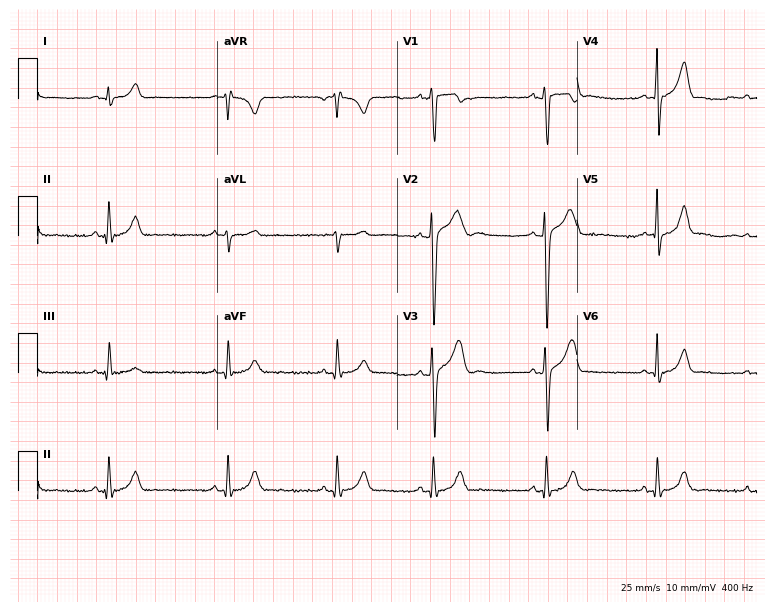
12-lead ECG (7.3-second recording at 400 Hz) from a male patient, 19 years old. Labelled as a normal ECG.